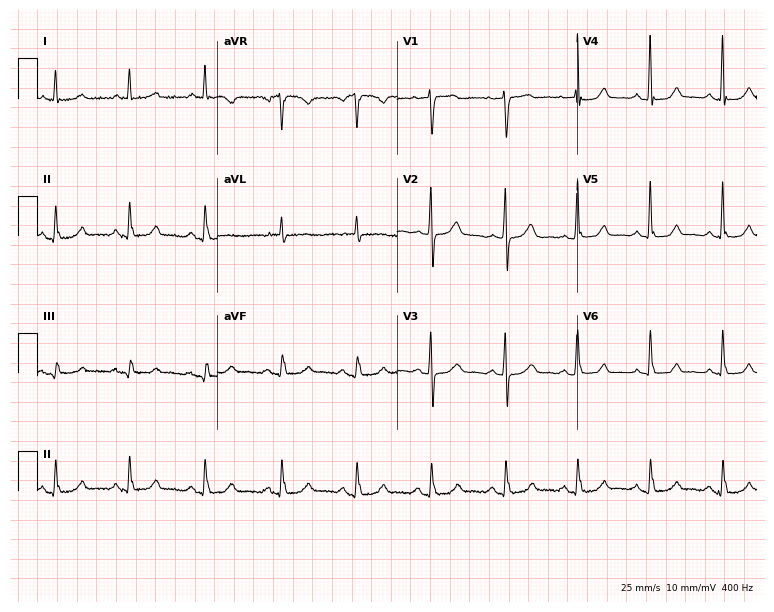
Resting 12-lead electrocardiogram (7.3-second recording at 400 Hz). Patient: a female, 76 years old. Read as a normal ECG.